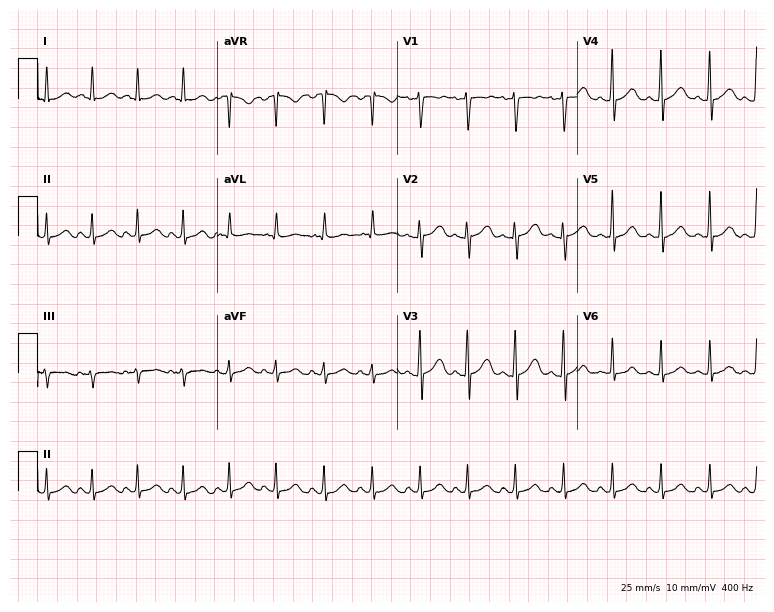
Standard 12-lead ECG recorded from a 28-year-old woman (7.3-second recording at 400 Hz). The tracing shows sinus tachycardia (a sinus rate of 100 beats per minute or more).